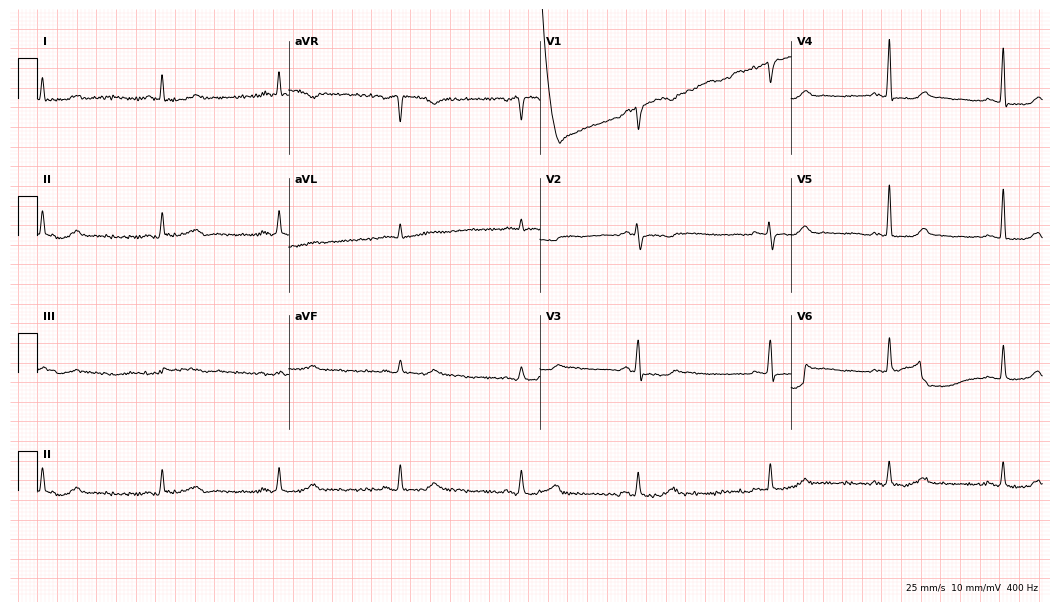
Electrocardiogram, a woman, 64 years old. Interpretation includes sinus bradycardia (a sinus rate of 50 beats per minute or less).